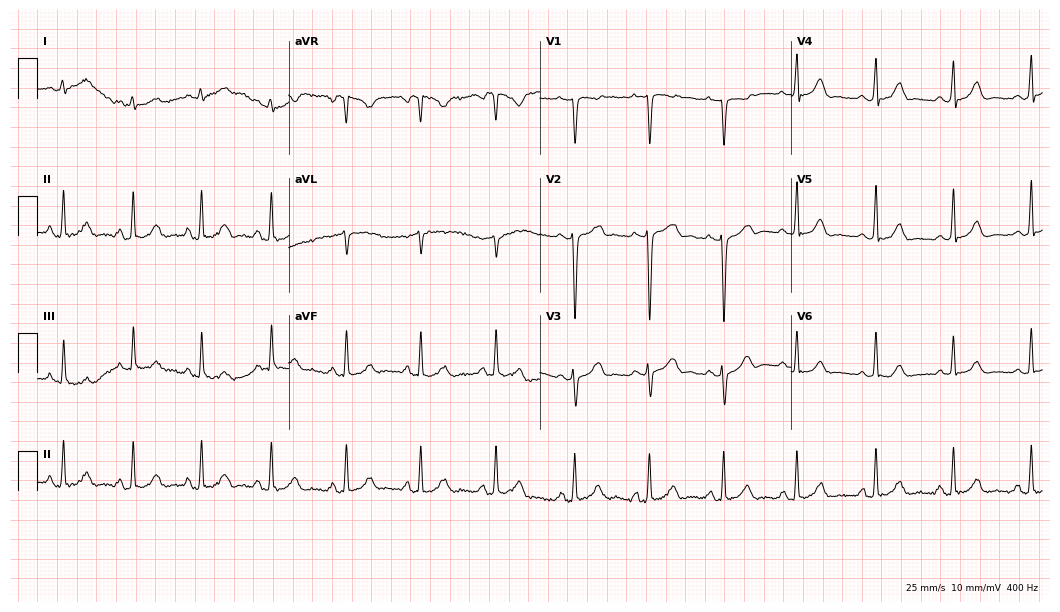
12-lead ECG from a 26-year-old female patient (10.2-second recording at 400 Hz). Recorded interpretation: within normal limits.